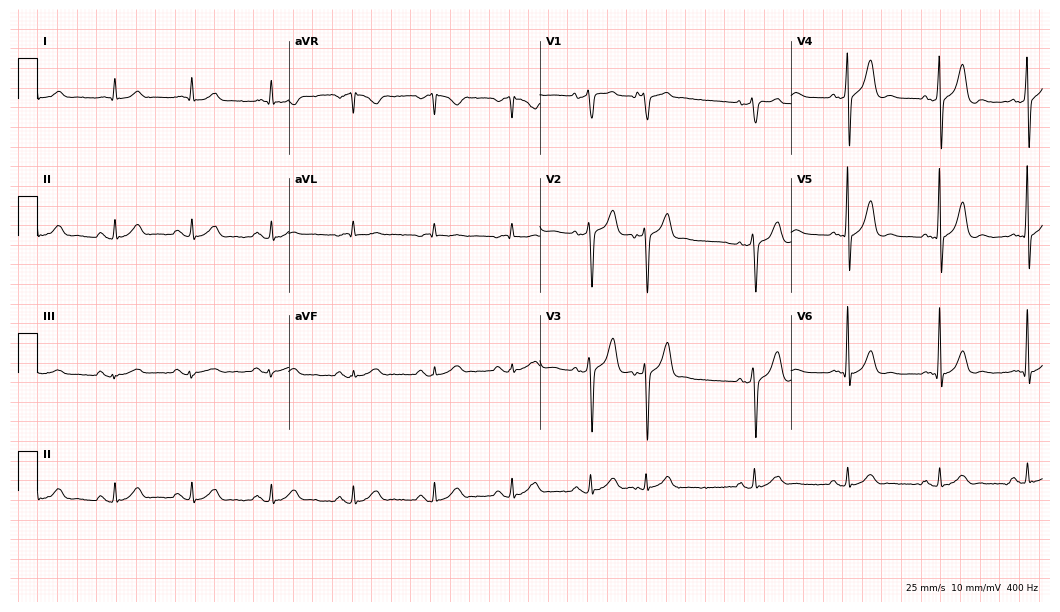
Electrocardiogram (10.2-second recording at 400 Hz), an 80-year-old male. Overall reading on record: normal ECG.